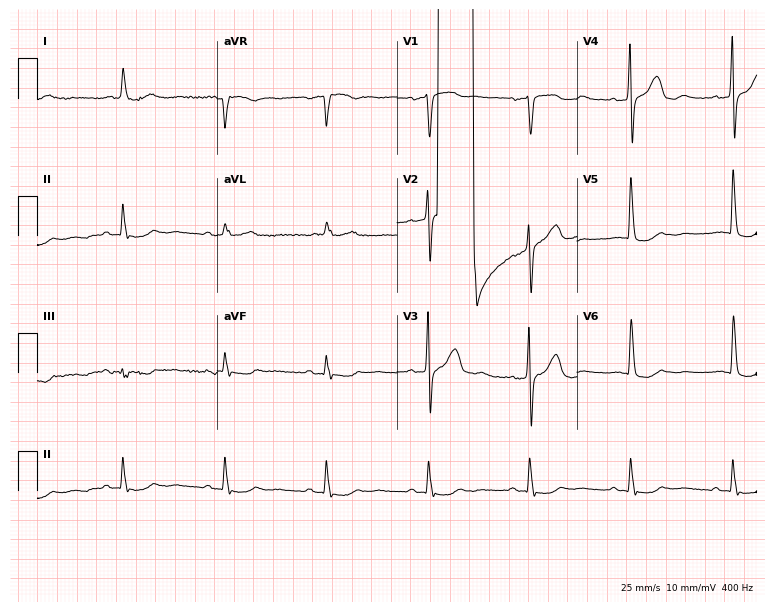
12-lead ECG (7.3-second recording at 400 Hz) from a 79-year-old female patient. Screened for six findings — first-degree AV block, right bundle branch block (RBBB), left bundle branch block (LBBB), sinus bradycardia, atrial fibrillation (AF), sinus tachycardia — none is recorded.